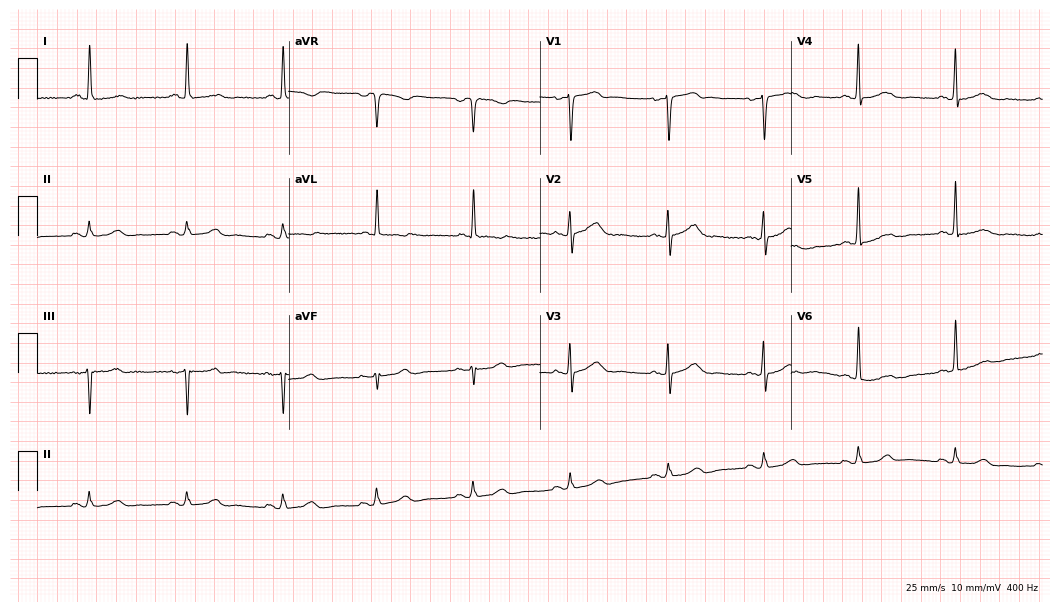
12-lead ECG from a female, 67 years old. Recorded interpretation: within normal limits.